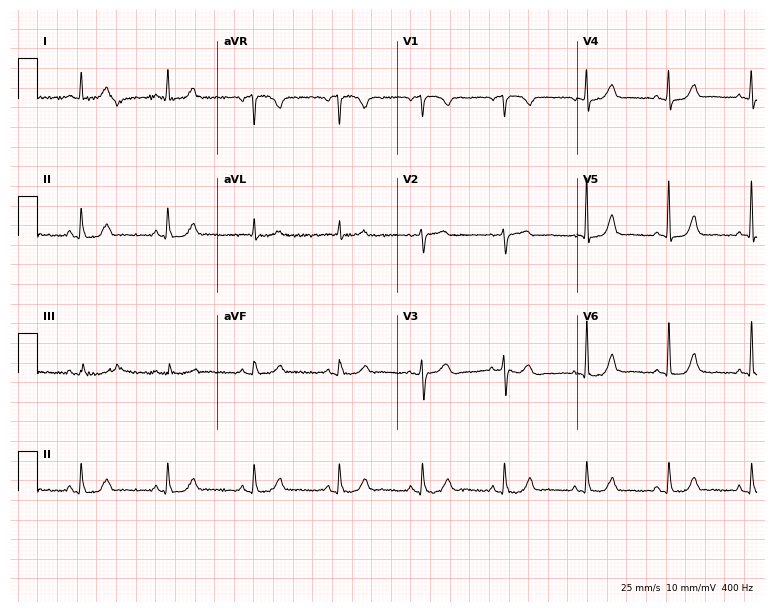
12-lead ECG from a 74-year-old woman. Labelled as a normal ECG.